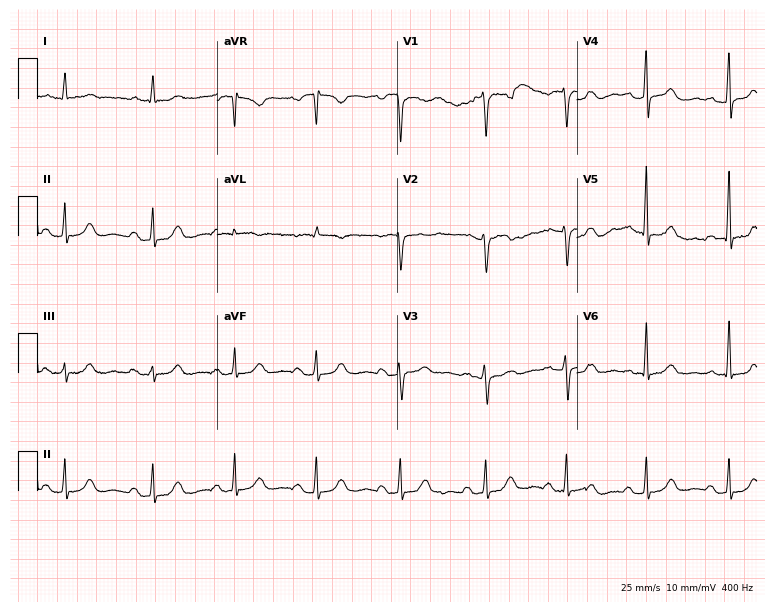
Standard 12-lead ECG recorded from a 62-year-old female (7.3-second recording at 400 Hz). Read as a normal ECG.